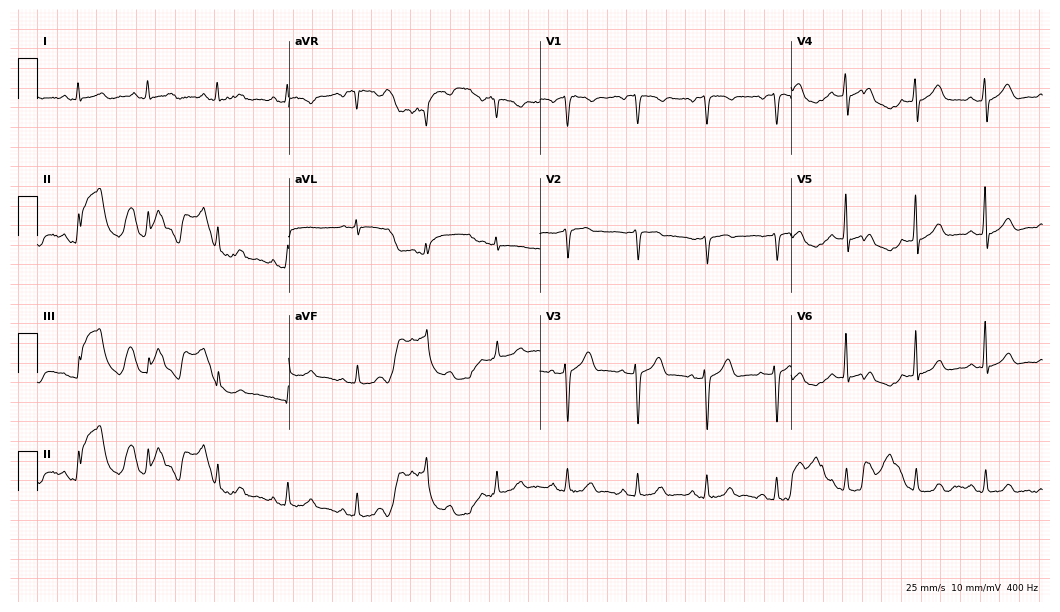
ECG — a male, 70 years old. Screened for six findings — first-degree AV block, right bundle branch block (RBBB), left bundle branch block (LBBB), sinus bradycardia, atrial fibrillation (AF), sinus tachycardia — none is recorded. Findings outside these six are not listed.